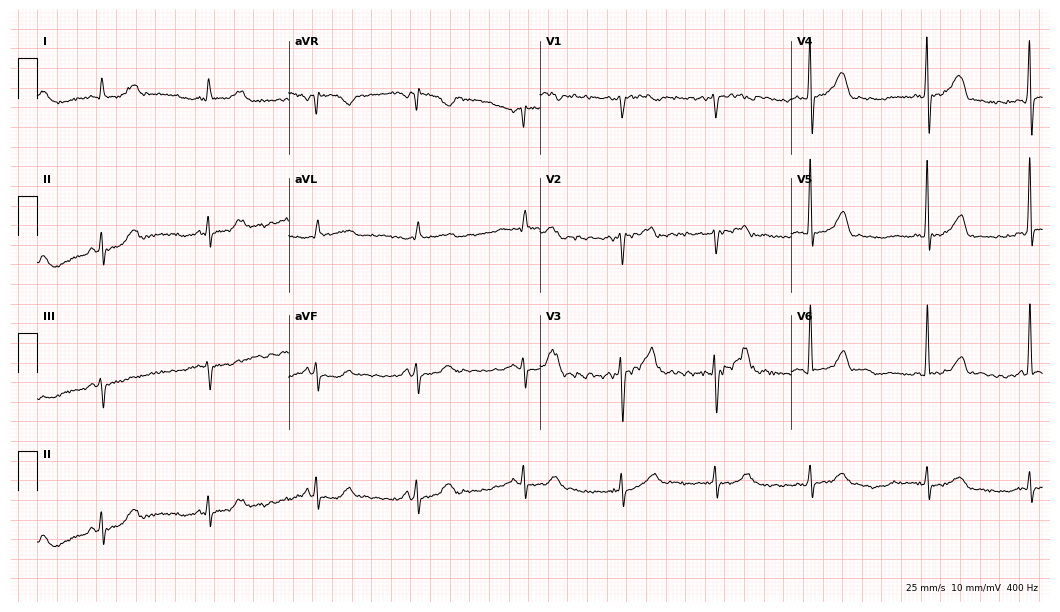
12-lead ECG from a man, 84 years old. Labelled as a normal ECG.